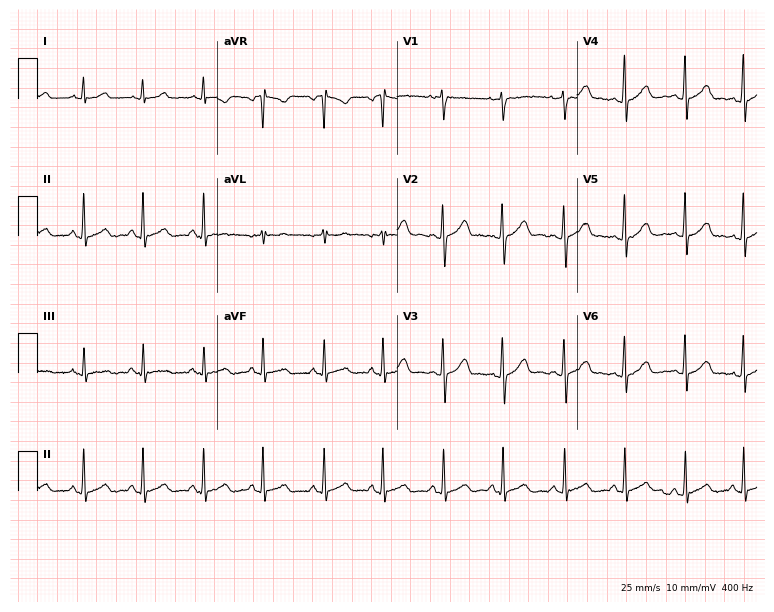
12-lead ECG from a female patient, 18 years old. Labelled as a normal ECG.